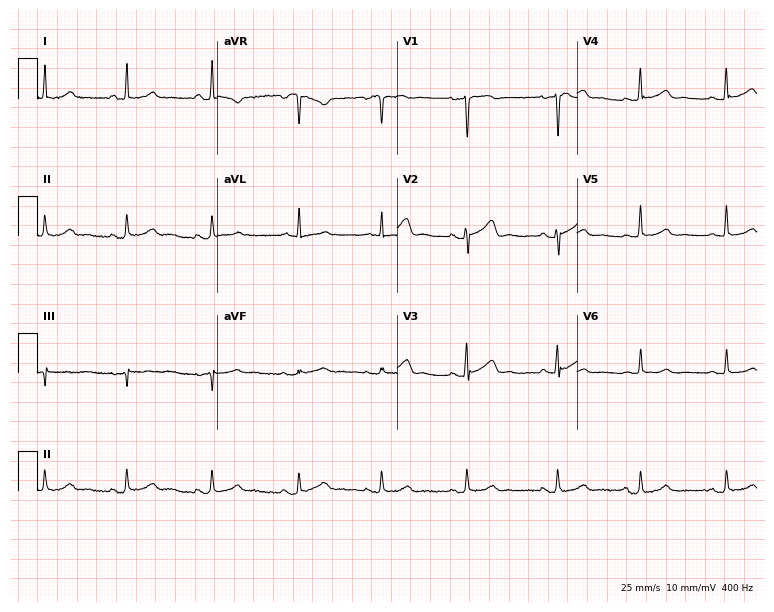
Electrocardiogram, a 30-year-old female patient. Overall reading on record: normal ECG.